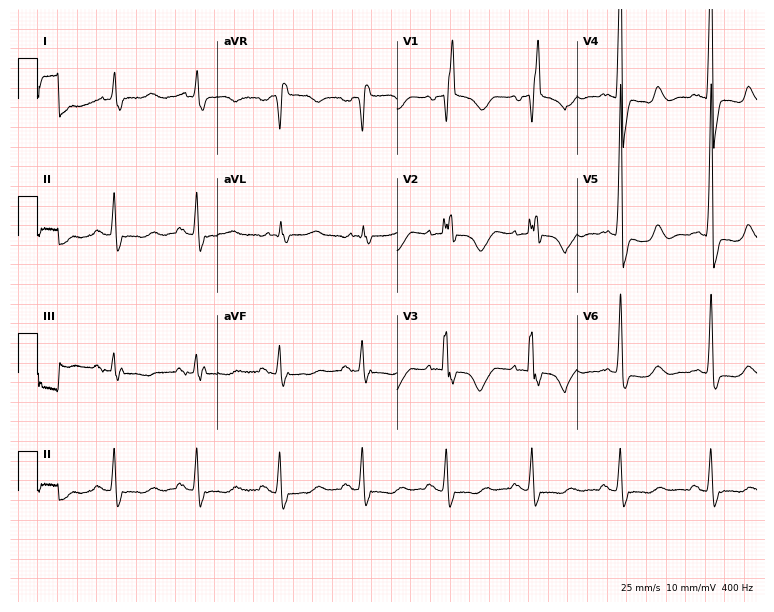
Electrocardiogram, an 81-year-old man. Interpretation includes right bundle branch block.